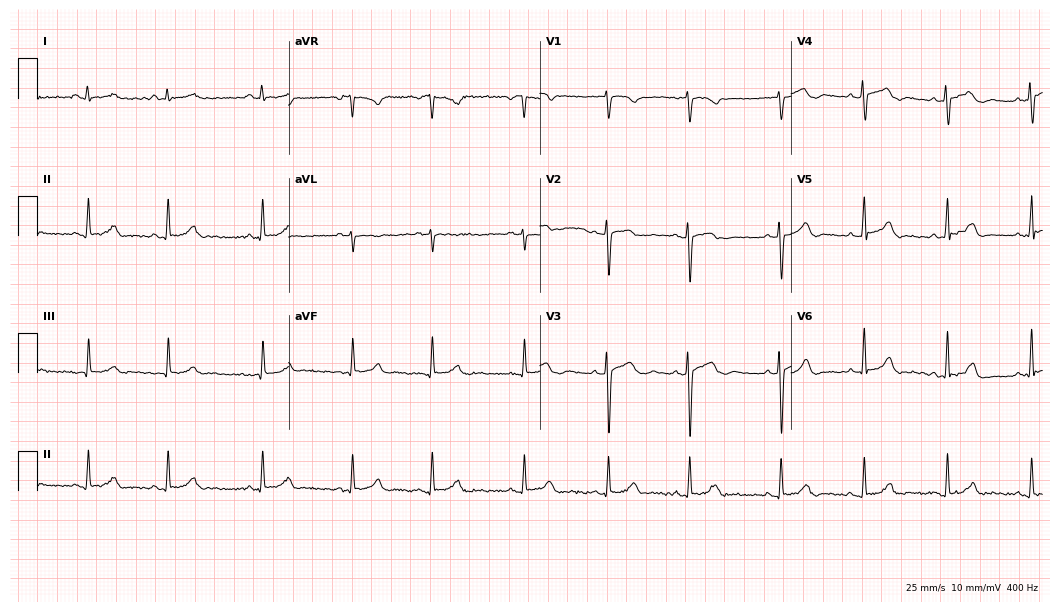
12-lead ECG (10.2-second recording at 400 Hz) from a 17-year-old woman. Labelled as a normal ECG.